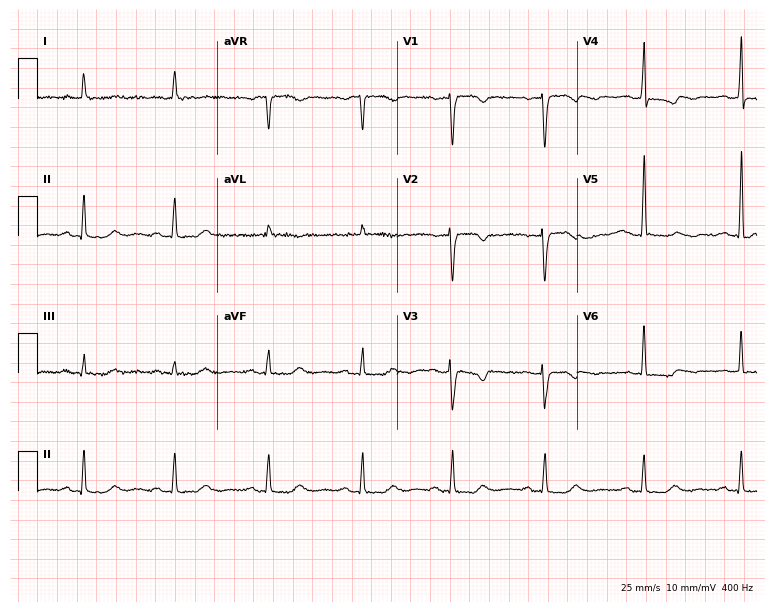
Electrocardiogram (7.3-second recording at 400 Hz), a female, 58 years old. Of the six screened findings (first-degree AV block, right bundle branch block, left bundle branch block, sinus bradycardia, atrial fibrillation, sinus tachycardia), none is recorded.